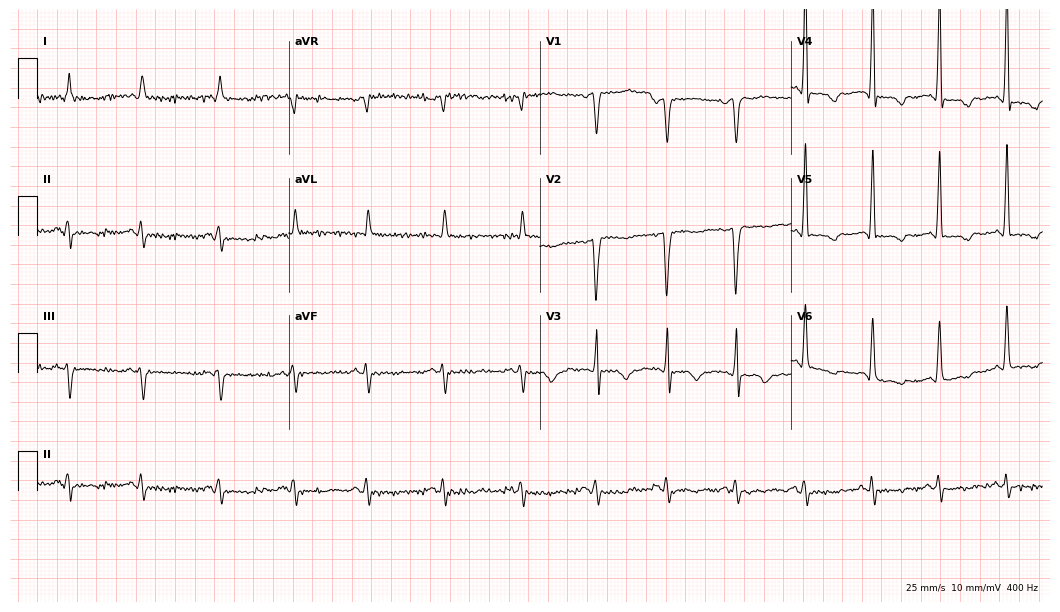
Electrocardiogram (10.2-second recording at 400 Hz), a 71-year-old man. Of the six screened findings (first-degree AV block, right bundle branch block, left bundle branch block, sinus bradycardia, atrial fibrillation, sinus tachycardia), none is recorded.